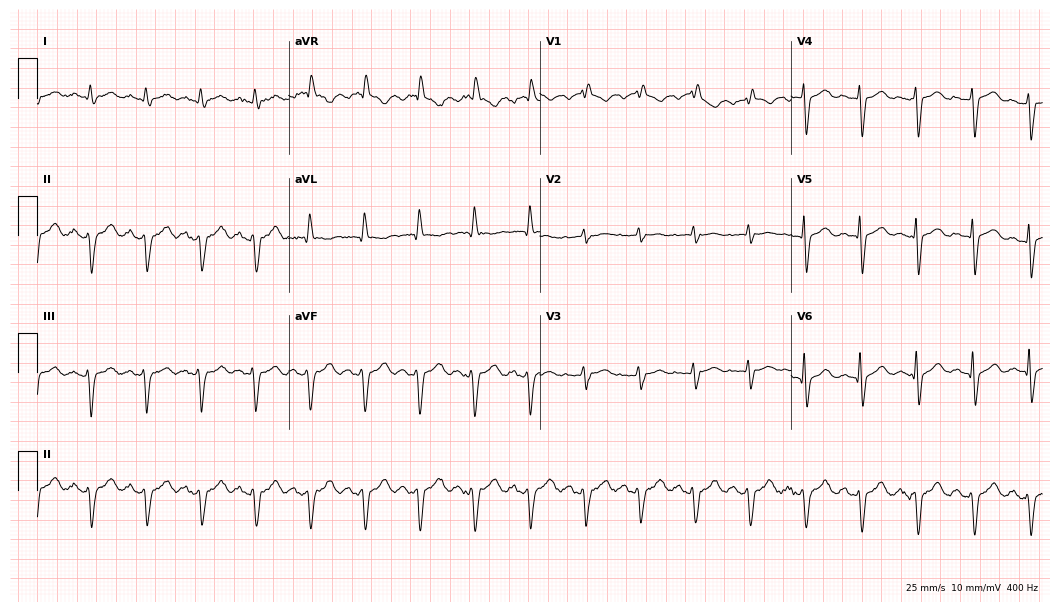
ECG — a male patient, 70 years old. Findings include right bundle branch block, sinus tachycardia (a sinus rate of 100 beats per minute or more).